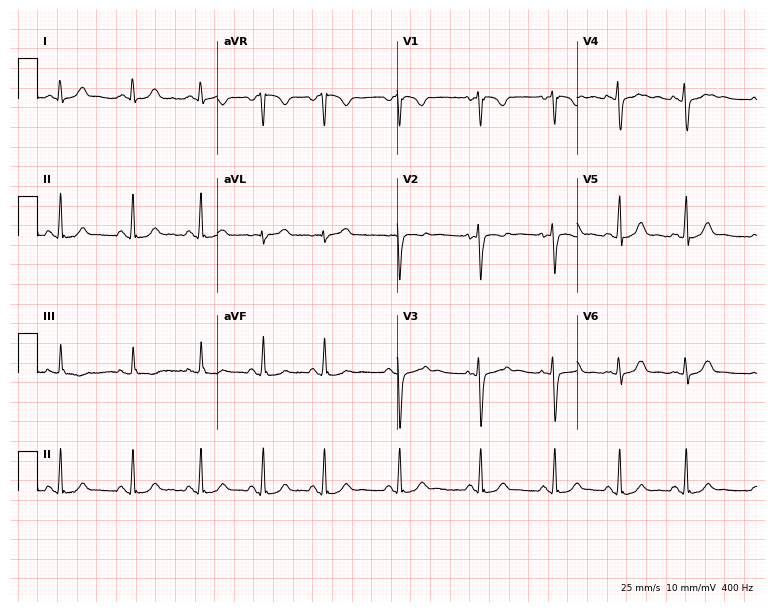
Standard 12-lead ECG recorded from a female patient, 19 years old. Read as a normal ECG.